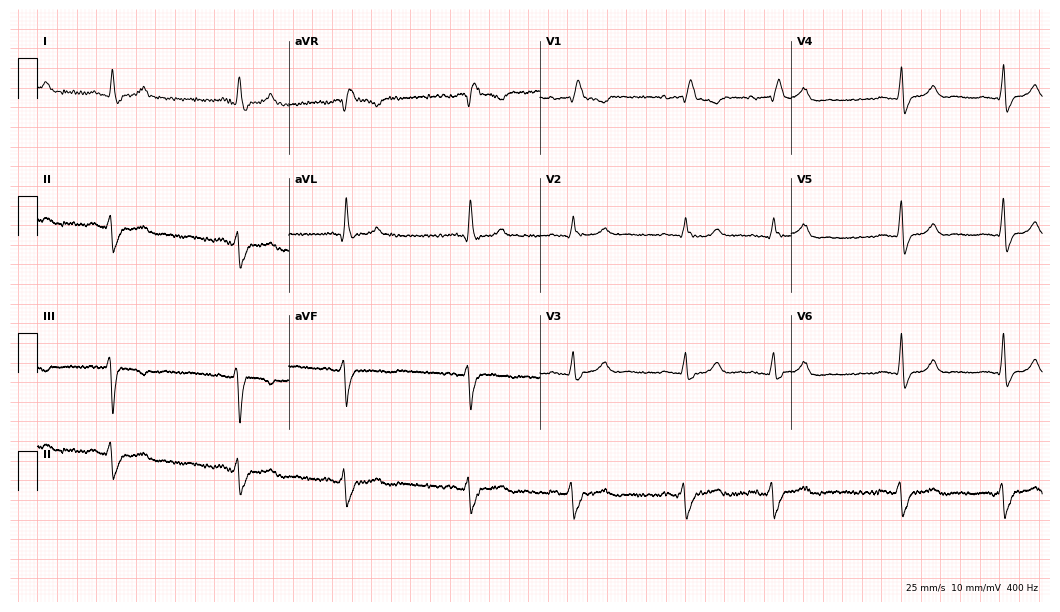
12-lead ECG from a female, 49 years old. Findings include right bundle branch block.